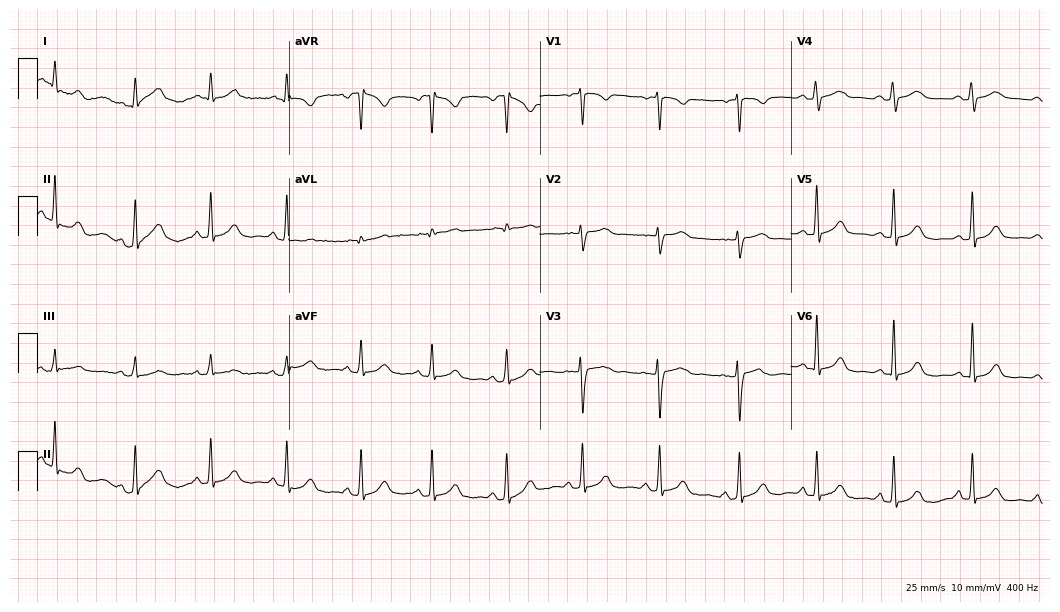
Electrocardiogram, a 31-year-old female. Overall reading on record: normal ECG.